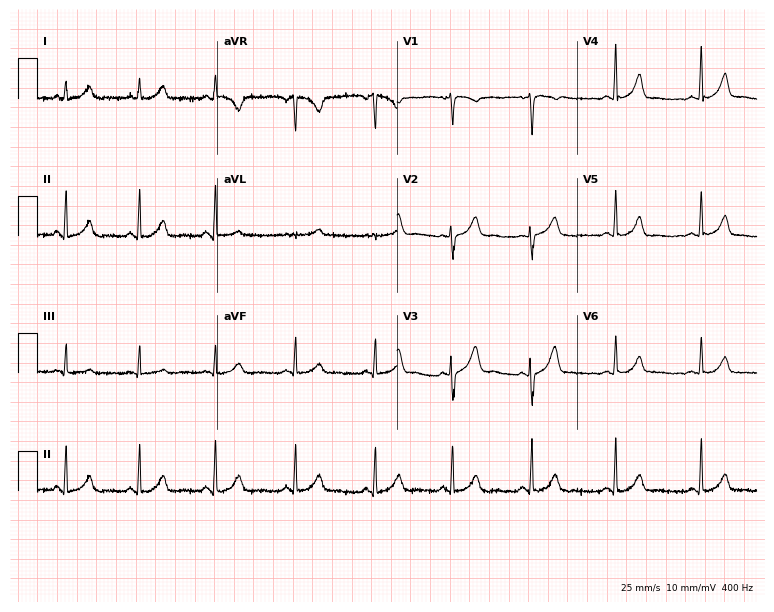
Standard 12-lead ECG recorded from a 43-year-old woman (7.3-second recording at 400 Hz). None of these six findings is recorded: first-degree AV block, right bundle branch block, left bundle branch block, sinus bradycardia, atrial fibrillation, sinus tachycardia. Findings outside these six are not listed.